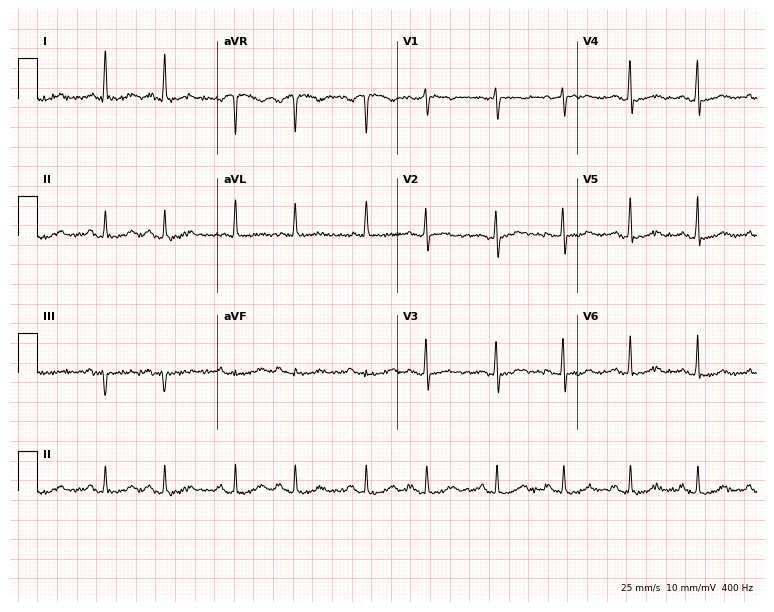
Resting 12-lead electrocardiogram. Patient: a female, 51 years old. None of these six findings is recorded: first-degree AV block, right bundle branch block (RBBB), left bundle branch block (LBBB), sinus bradycardia, atrial fibrillation (AF), sinus tachycardia.